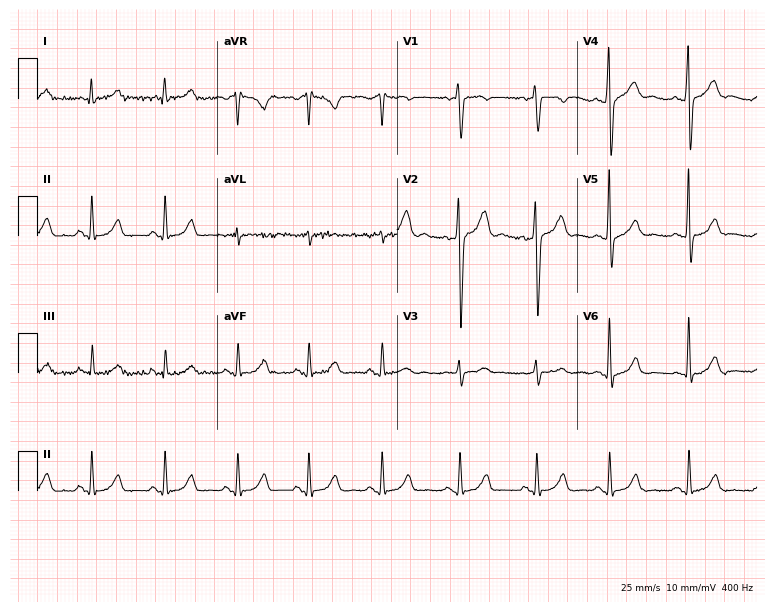
Standard 12-lead ECG recorded from an 18-year-old male. None of these six findings is recorded: first-degree AV block, right bundle branch block, left bundle branch block, sinus bradycardia, atrial fibrillation, sinus tachycardia.